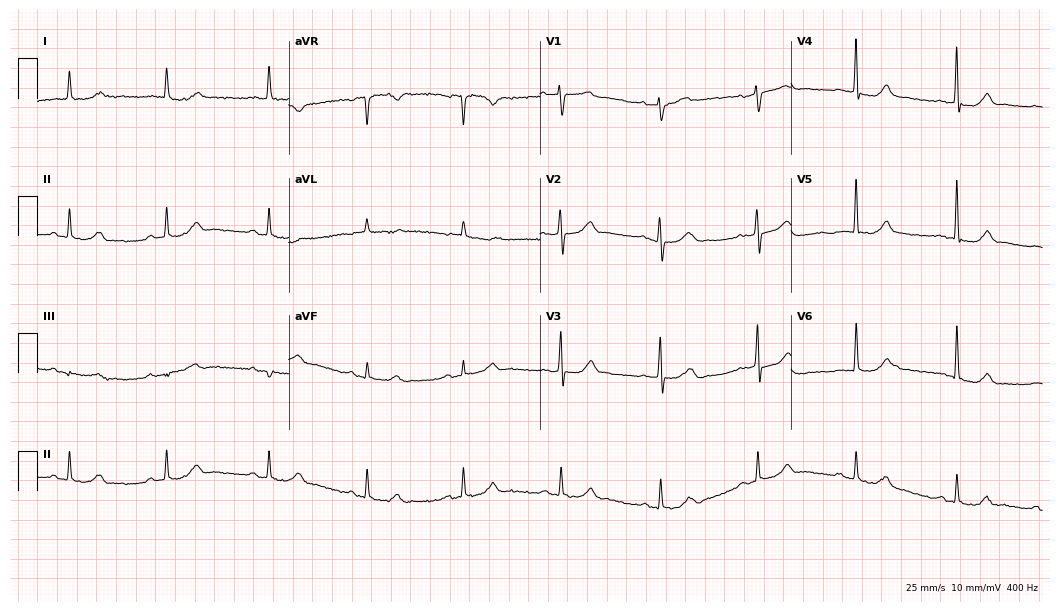
12-lead ECG from an 80-year-old male. Screened for six findings — first-degree AV block, right bundle branch block, left bundle branch block, sinus bradycardia, atrial fibrillation, sinus tachycardia — none is recorded. Only these six findings were labelled.